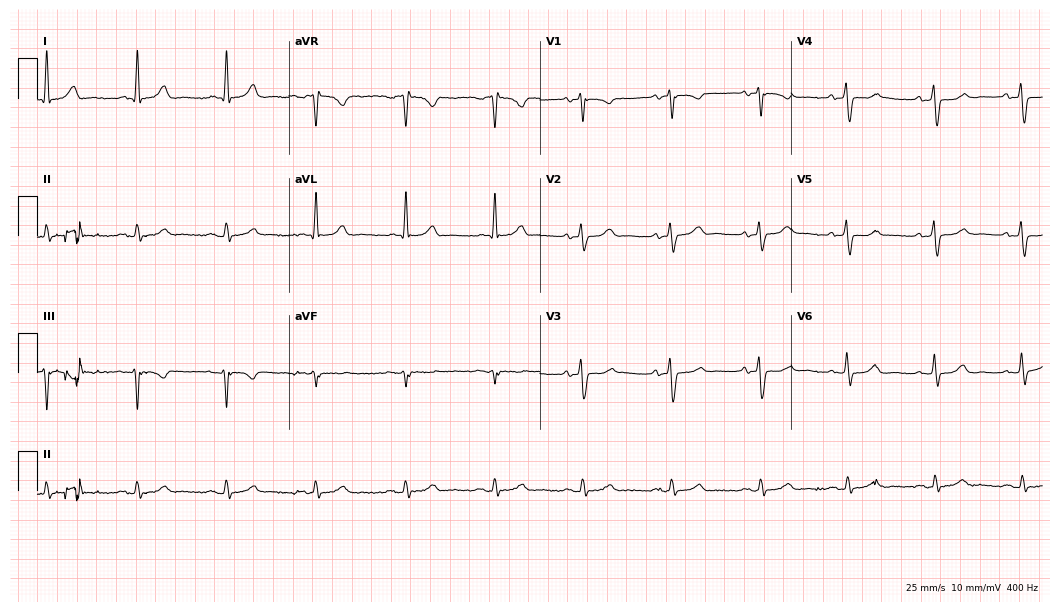
ECG — an 80-year-old man. Labelled as a normal ECG.